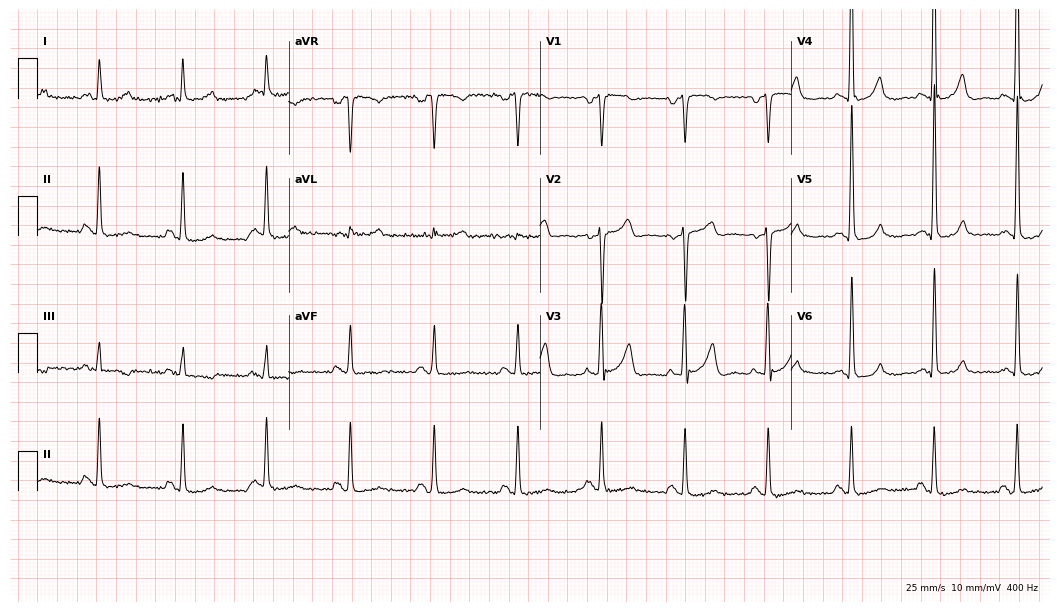
Electrocardiogram (10.2-second recording at 400 Hz), a 69-year-old male. Of the six screened findings (first-degree AV block, right bundle branch block, left bundle branch block, sinus bradycardia, atrial fibrillation, sinus tachycardia), none is recorded. Other findings, if any, are not listed.